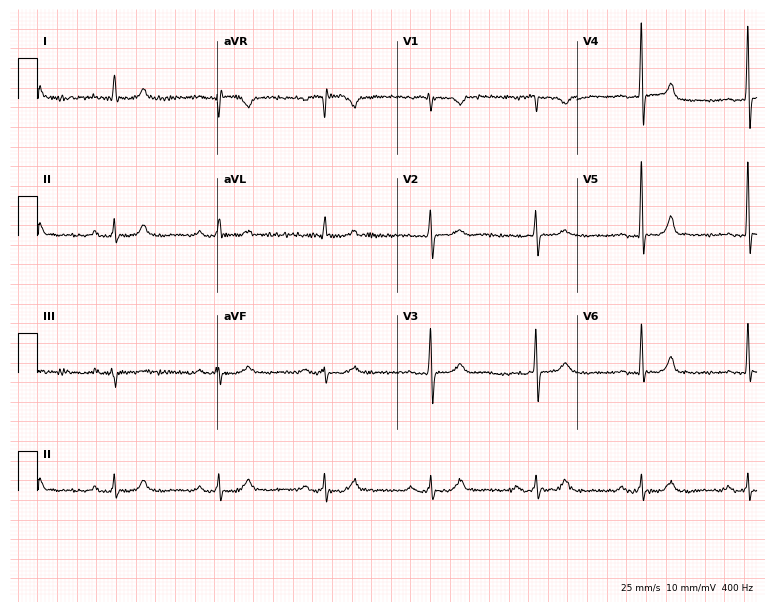
12-lead ECG (7.3-second recording at 400 Hz) from a 56-year-old male. Findings include first-degree AV block.